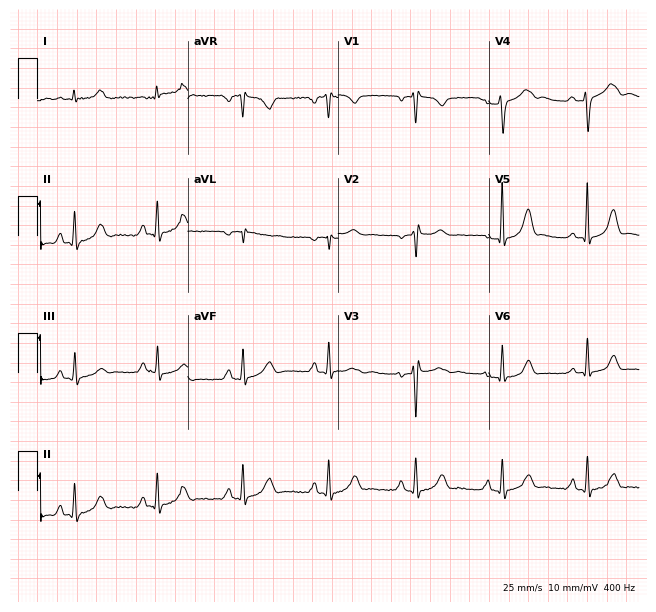
12-lead ECG (6.1-second recording at 400 Hz) from a 24-year-old female. Screened for six findings — first-degree AV block, right bundle branch block, left bundle branch block, sinus bradycardia, atrial fibrillation, sinus tachycardia — none is recorded. Findings outside these six are not listed.